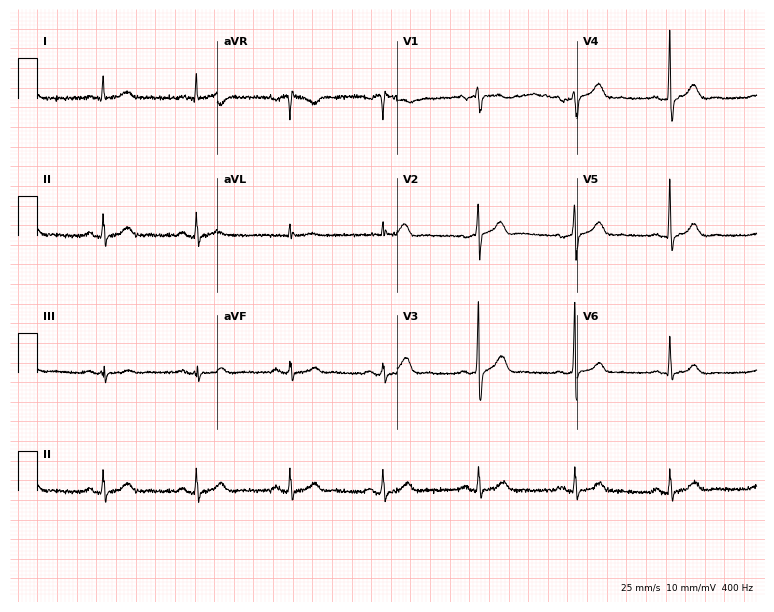
Standard 12-lead ECG recorded from a male patient, 61 years old. Read as a normal ECG.